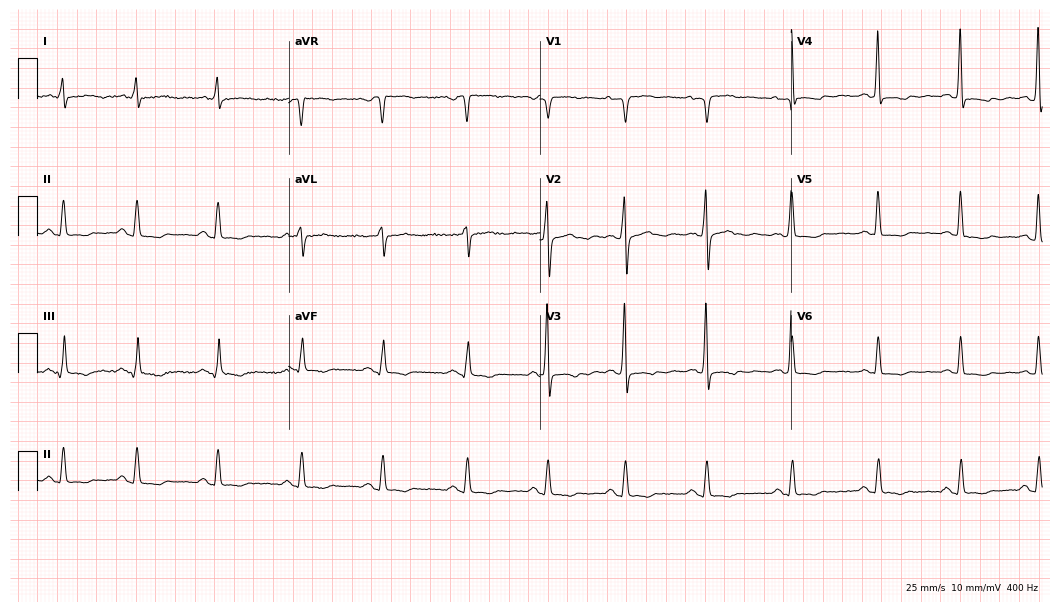
Standard 12-lead ECG recorded from a 66-year-old female patient (10.2-second recording at 400 Hz). None of these six findings is recorded: first-degree AV block, right bundle branch block (RBBB), left bundle branch block (LBBB), sinus bradycardia, atrial fibrillation (AF), sinus tachycardia.